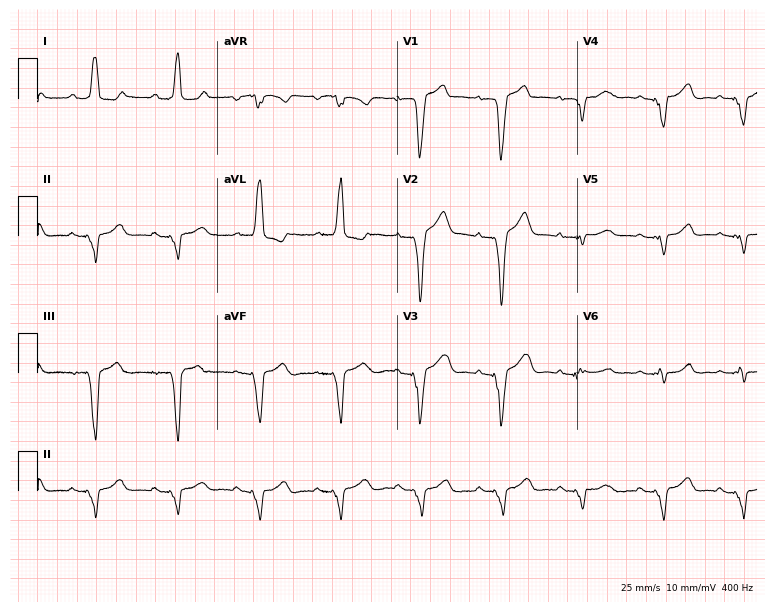
12-lead ECG from a 51-year-old female (7.3-second recording at 400 Hz). No first-degree AV block, right bundle branch block (RBBB), left bundle branch block (LBBB), sinus bradycardia, atrial fibrillation (AF) or sinus tachycardia recorded for this tracing. Only these six findings were labelled.